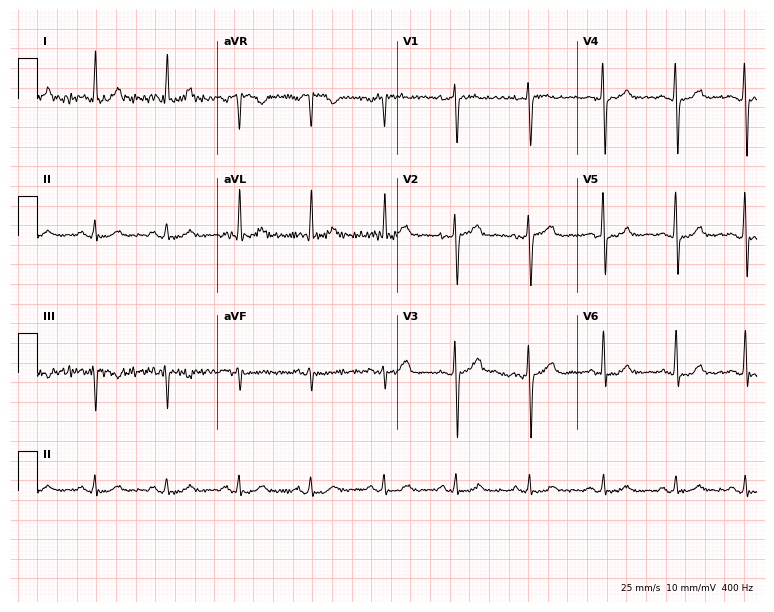
12-lead ECG from a 47-year-old male patient. No first-degree AV block, right bundle branch block, left bundle branch block, sinus bradycardia, atrial fibrillation or sinus tachycardia recorded for this tracing.